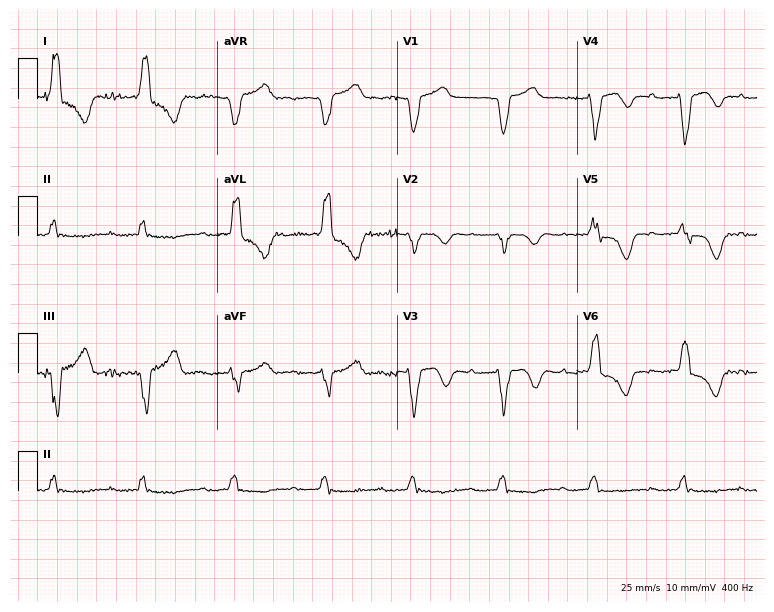
12-lead ECG (7.3-second recording at 400 Hz) from an 85-year-old man. Findings include first-degree AV block, left bundle branch block.